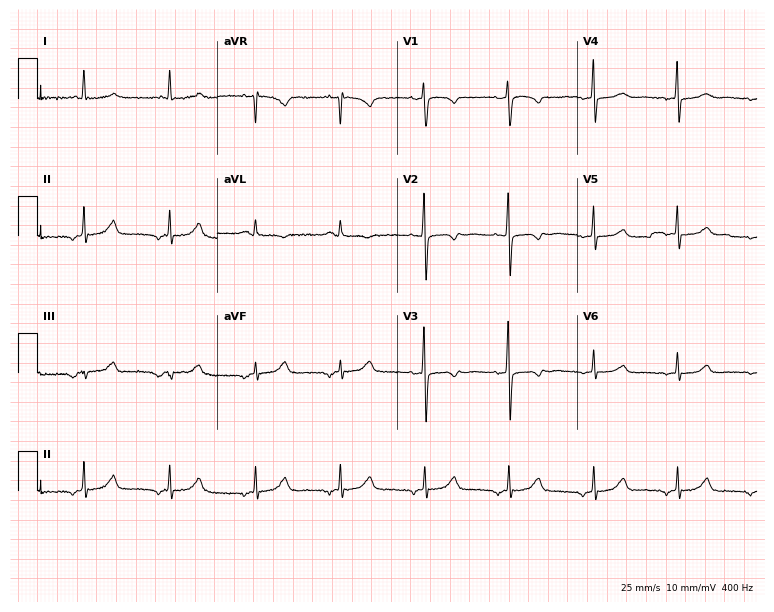
Standard 12-lead ECG recorded from a 75-year-old woman (7.3-second recording at 400 Hz). None of these six findings is recorded: first-degree AV block, right bundle branch block (RBBB), left bundle branch block (LBBB), sinus bradycardia, atrial fibrillation (AF), sinus tachycardia.